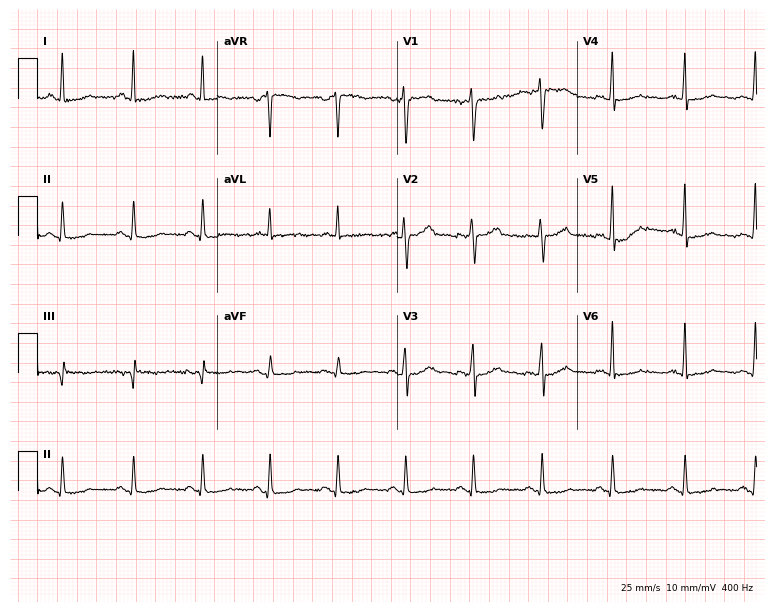
Standard 12-lead ECG recorded from a female, 46 years old. None of these six findings is recorded: first-degree AV block, right bundle branch block (RBBB), left bundle branch block (LBBB), sinus bradycardia, atrial fibrillation (AF), sinus tachycardia. Findings outside these six are not listed.